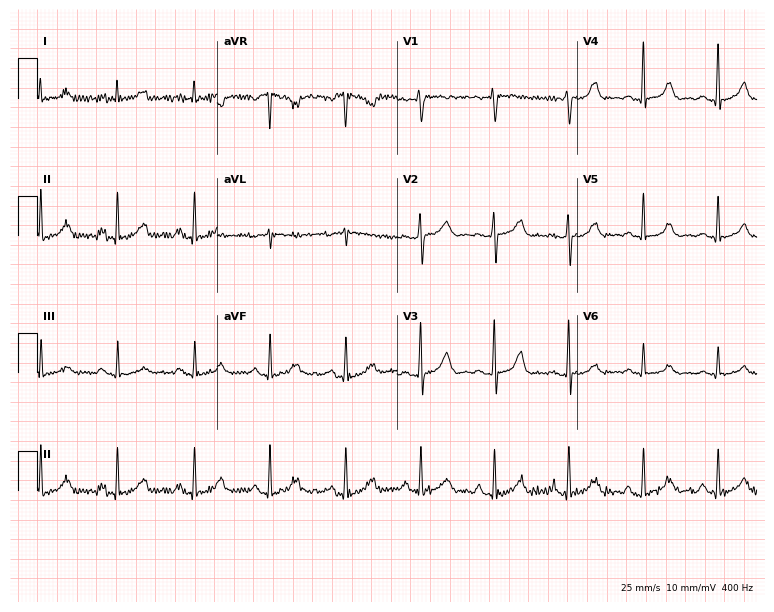
ECG — a female patient, 51 years old. Screened for six findings — first-degree AV block, right bundle branch block, left bundle branch block, sinus bradycardia, atrial fibrillation, sinus tachycardia — none is recorded. Other findings, if any, are not listed.